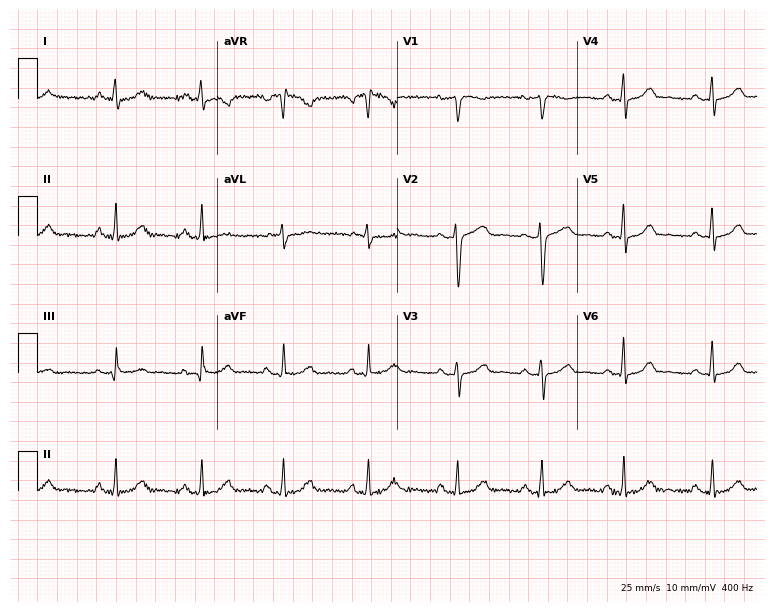
12-lead ECG from a woman, 37 years old (7.3-second recording at 400 Hz). Recorded interpretation: within normal limits.